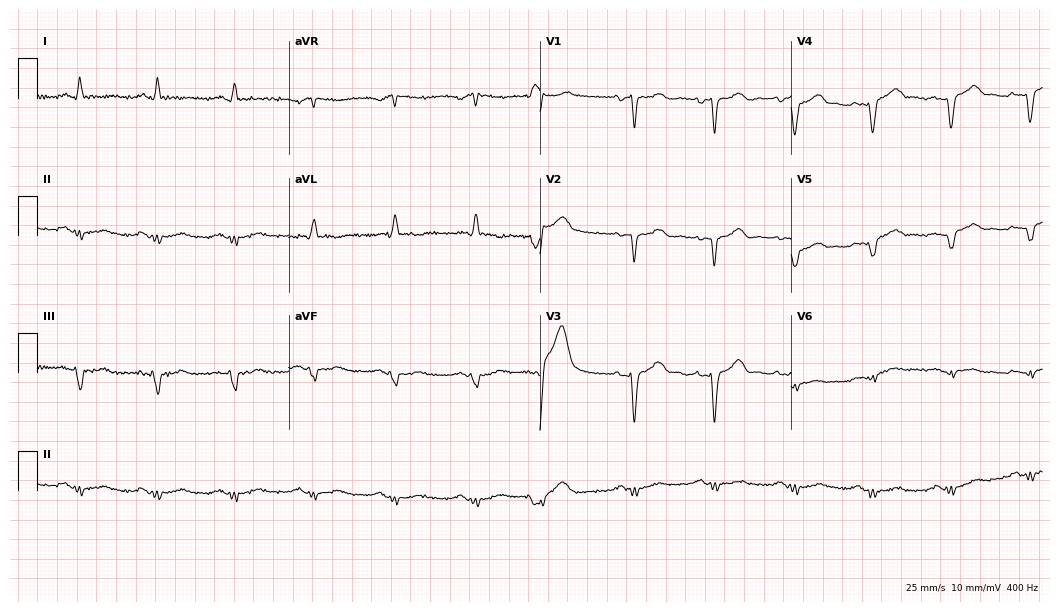
ECG (10.2-second recording at 400 Hz) — a 64-year-old male patient. Screened for six findings — first-degree AV block, right bundle branch block (RBBB), left bundle branch block (LBBB), sinus bradycardia, atrial fibrillation (AF), sinus tachycardia — none is recorded.